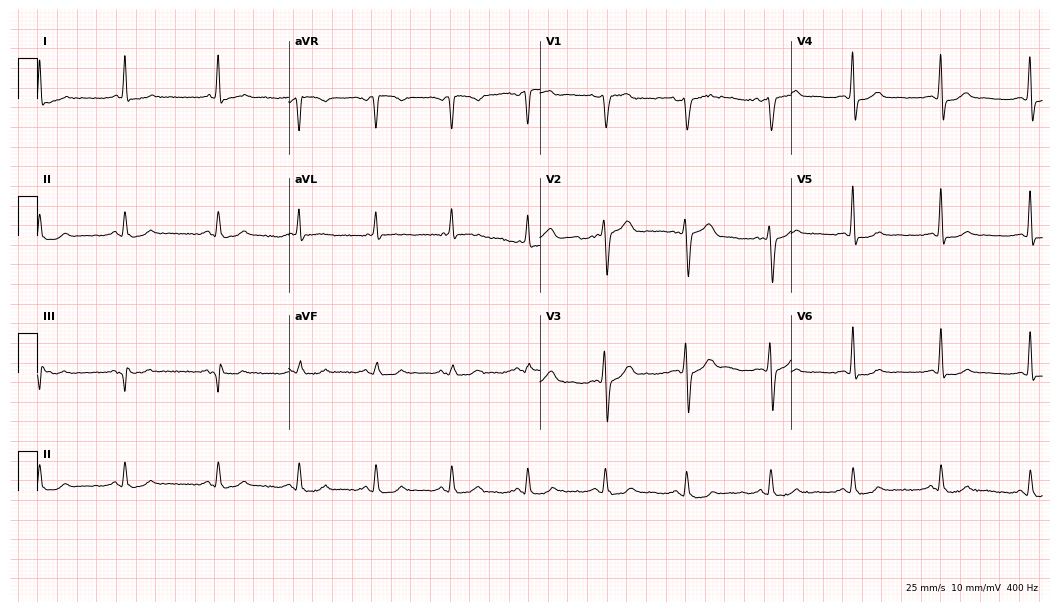
Resting 12-lead electrocardiogram (10.2-second recording at 400 Hz). Patient: a male, 62 years old. None of these six findings is recorded: first-degree AV block, right bundle branch block (RBBB), left bundle branch block (LBBB), sinus bradycardia, atrial fibrillation (AF), sinus tachycardia.